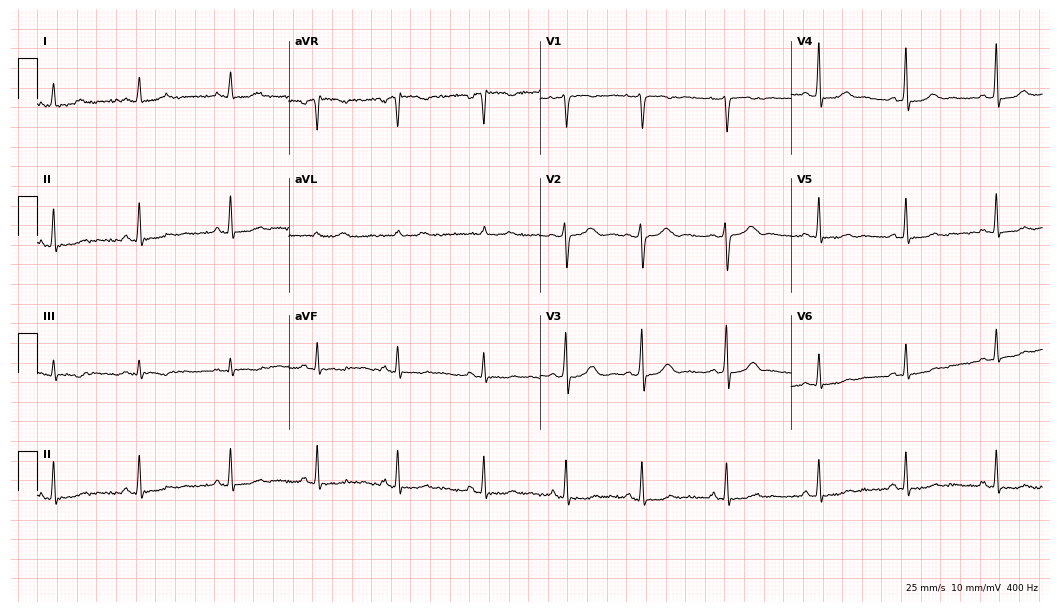
ECG — a 29-year-old female. Screened for six findings — first-degree AV block, right bundle branch block (RBBB), left bundle branch block (LBBB), sinus bradycardia, atrial fibrillation (AF), sinus tachycardia — none is recorded. Findings outside these six are not listed.